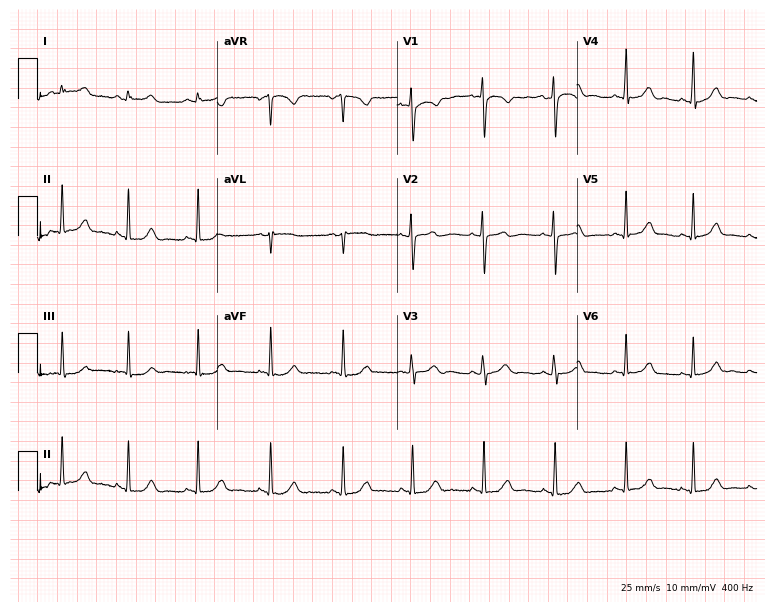
12-lead ECG from a woman, 34 years old (7.3-second recording at 400 Hz). No first-degree AV block, right bundle branch block (RBBB), left bundle branch block (LBBB), sinus bradycardia, atrial fibrillation (AF) or sinus tachycardia recorded for this tracing. Only these six findings were labelled.